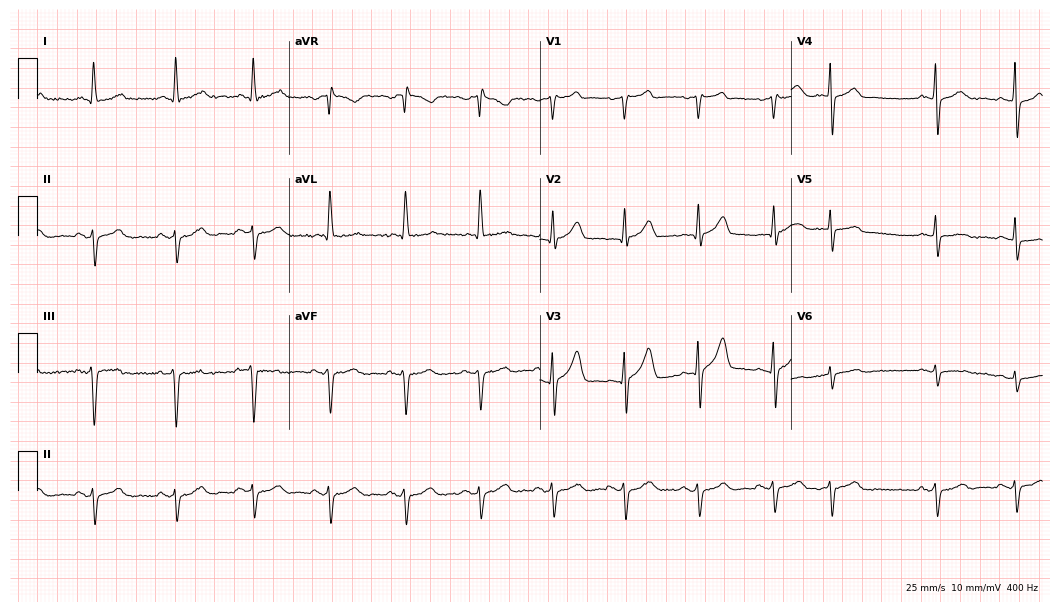
Standard 12-lead ECG recorded from a 63-year-old man. None of these six findings is recorded: first-degree AV block, right bundle branch block, left bundle branch block, sinus bradycardia, atrial fibrillation, sinus tachycardia.